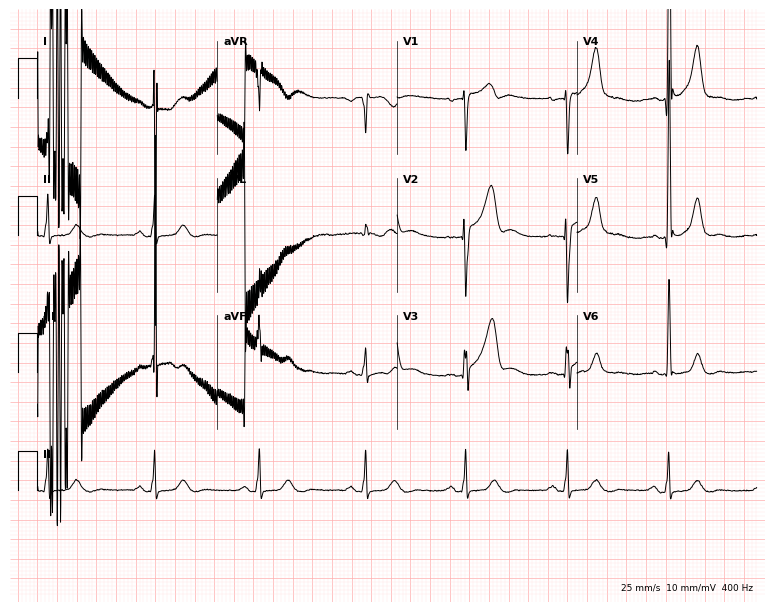
Electrocardiogram (7.3-second recording at 400 Hz), a male patient, 58 years old. Of the six screened findings (first-degree AV block, right bundle branch block, left bundle branch block, sinus bradycardia, atrial fibrillation, sinus tachycardia), none is recorded. Findings outside these six are not listed.